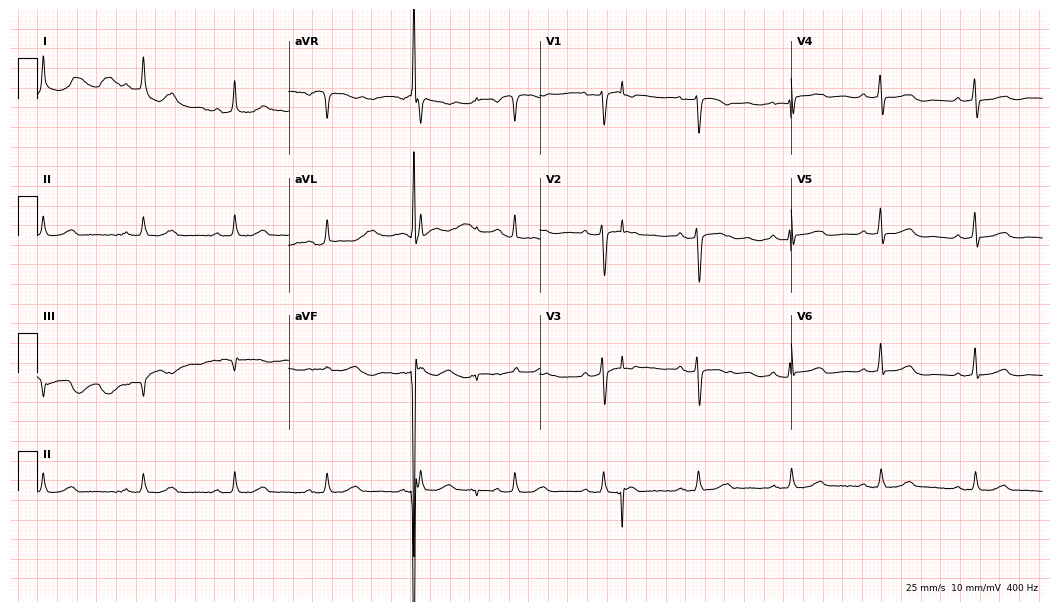
Resting 12-lead electrocardiogram. Patient: a 72-year-old female. None of these six findings is recorded: first-degree AV block, right bundle branch block, left bundle branch block, sinus bradycardia, atrial fibrillation, sinus tachycardia. Other findings, if any, are not listed.